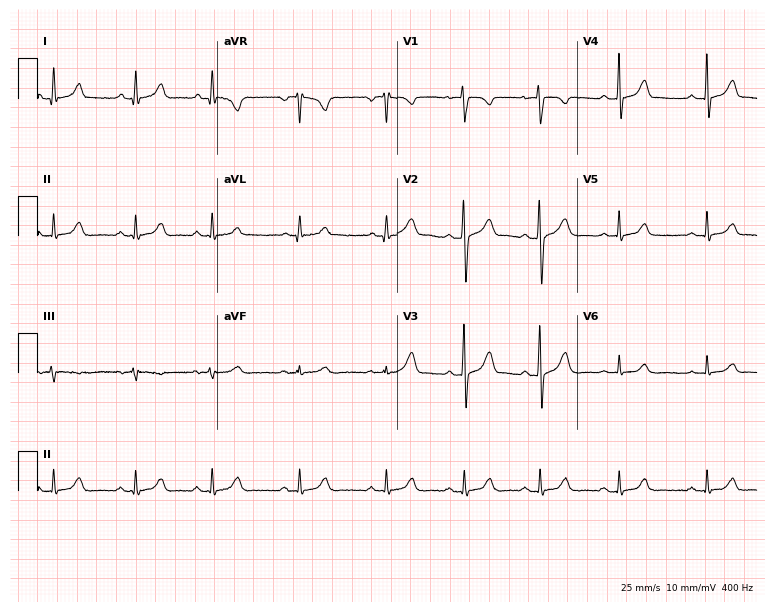
12-lead ECG from a female patient, 23 years old. Recorded interpretation: within normal limits.